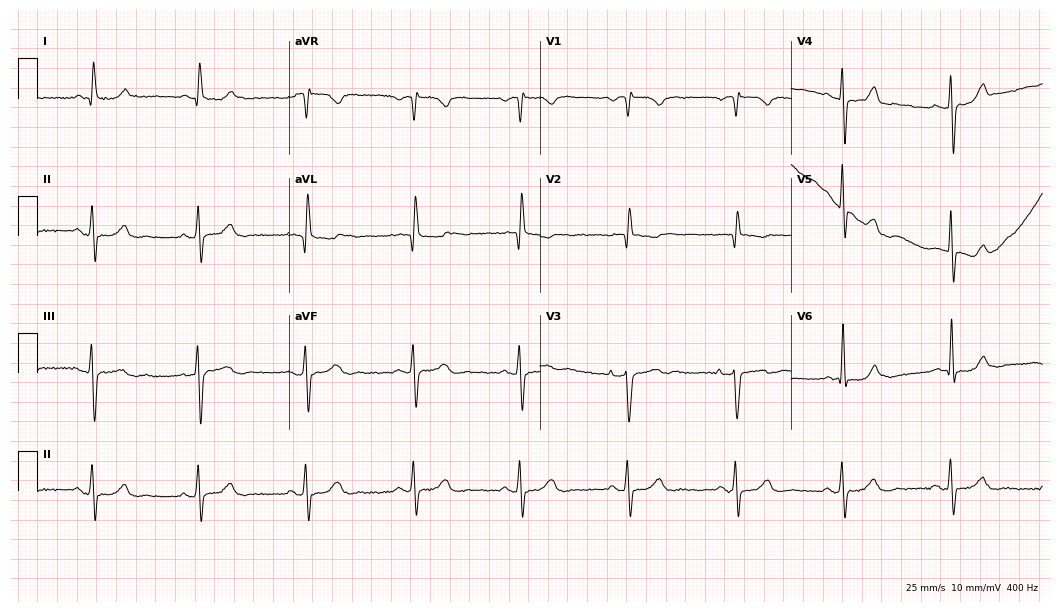
Resting 12-lead electrocardiogram. Patient: an 80-year-old female. None of these six findings is recorded: first-degree AV block, right bundle branch block, left bundle branch block, sinus bradycardia, atrial fibrillation, sinus tachycardia. Findings outside these six are not listed.